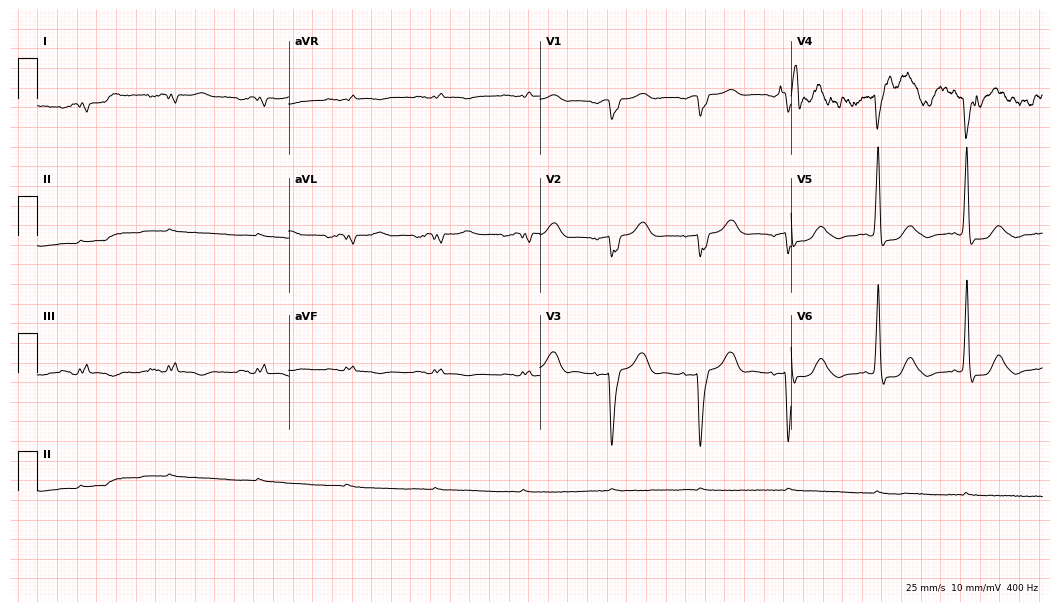
Electrocardiogram (10.2-second recording at 400 Hz), an 81-year-old man. Of the six screened findings (first-degree AV block, right bundle branch block (RBBB), left bundle branch block (LBBB), sinus bradycardia, atrial fibrillation (AF), sinus tachycardia), none is recorded. Only these six findings were labelled.